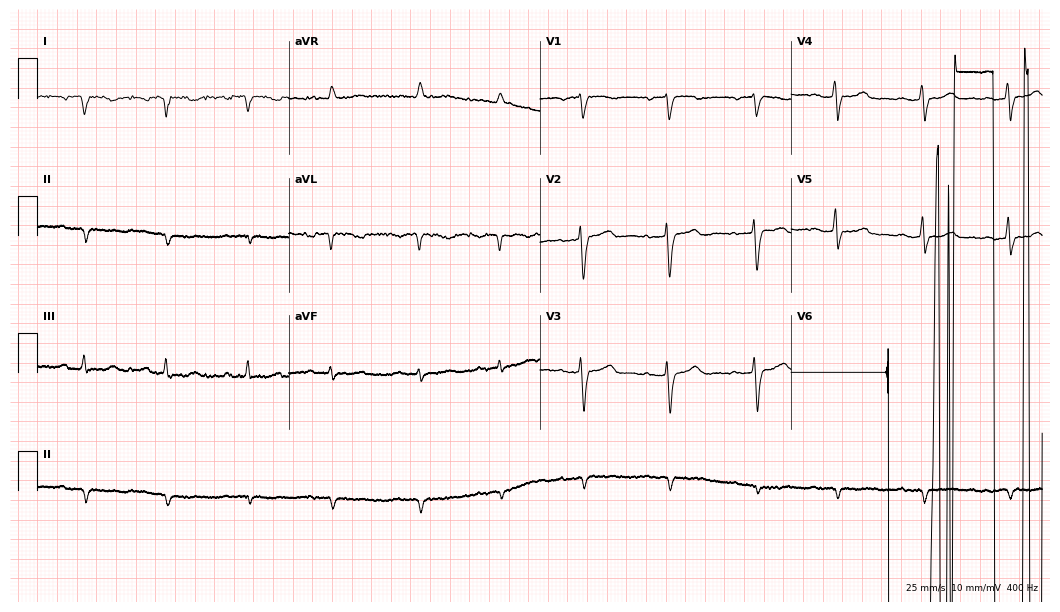
Electrocardiogram (10.2-second recording at 400 Hz), a 69-year-old female patient. Of the six screened findings (first-degree AV block, right bundle branch block, left bundle branch block, sinus bradycardia, atrial fibrillation, sinus tachycardia), none is recorded.